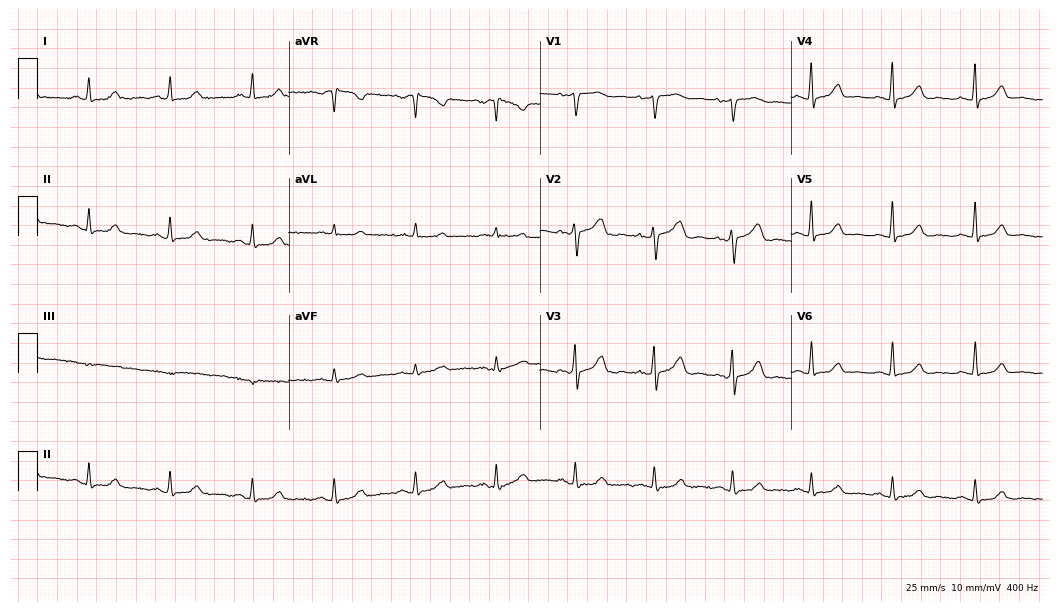
Electrocardiogram (10.2-second recording at 400 Hz), a female patient, 52 years old. Overall reading on record: normal ECG.